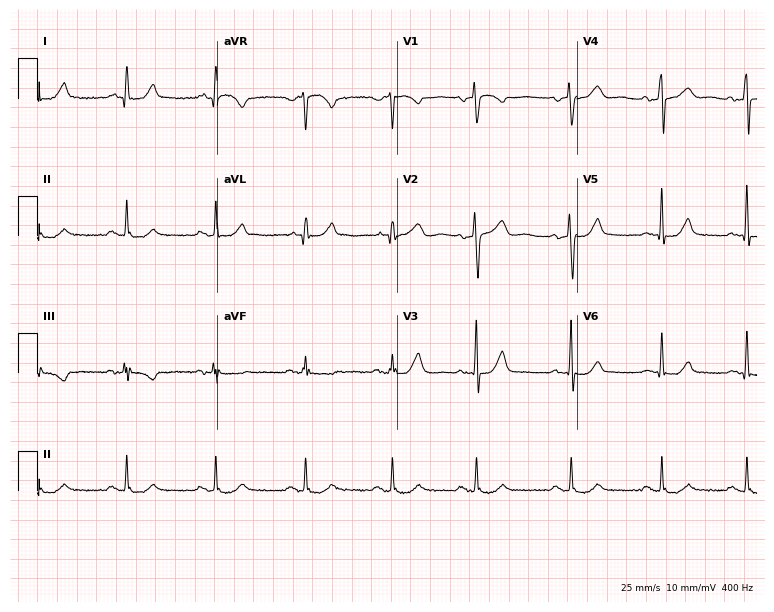
Resting 12-lead electrocardiogram (7.3-second recording at 400 Hz). Patient: a 69-year-old female. None of these six findings is recorded: first-degree AV block, right bundle branch block, left bundle branch block, sinus bradycardia, atrial fibrillation, sinus tachycardia. Findings outside these six are not listed.